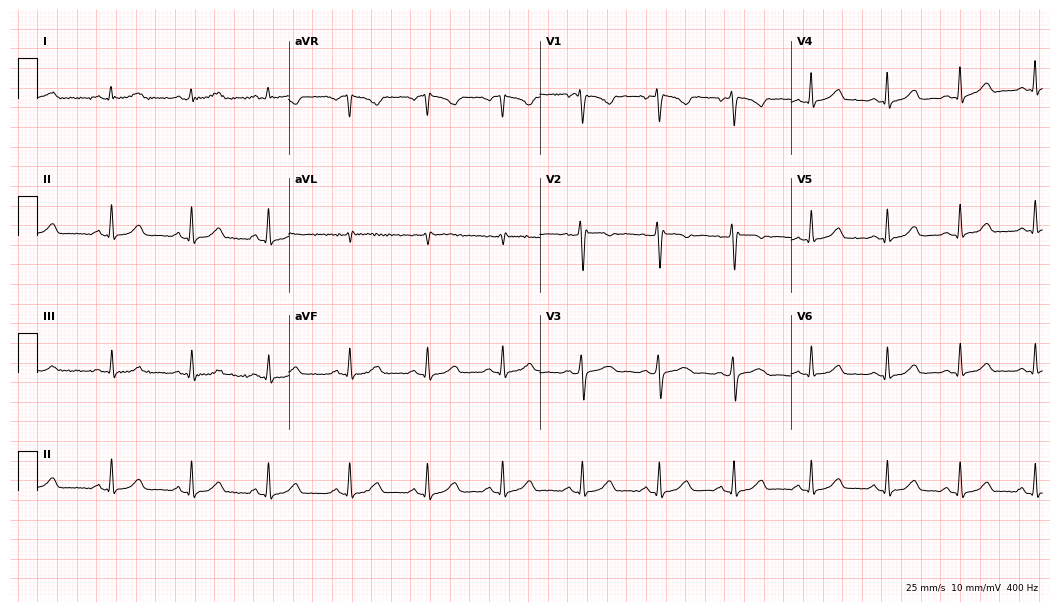
12-lead ECG from a 26-year-old female (10.2-second recording at 400 Hz). Recorded interpretation: within normal limits.